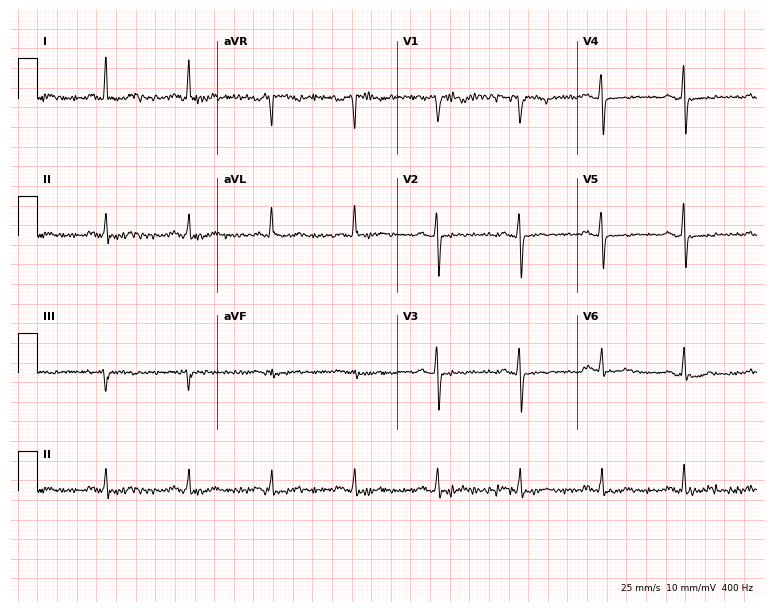
Electrocardiogram (7.3-second recording at 400 Hz), a female patient, 66 years old. Of the six screened findings (first-degree AV block, right bundle branch block (RBBB), left bundle branch block (LBBB), sinus bradycardia, atrial fibrillation (AF), sinus tachycardia), none is recorded.